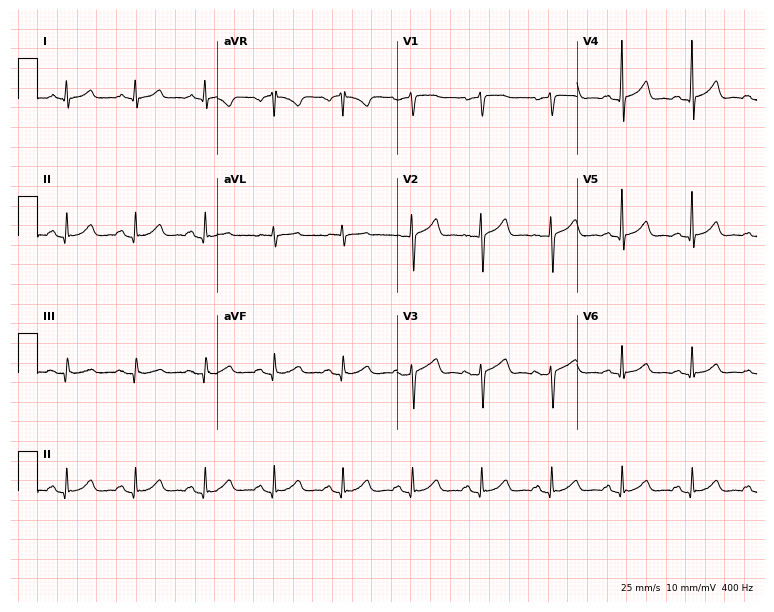
Standard 12-lead ECG recorded from a male, 75 years old (7.3-second recording at 400 Hz). Read as a normal ECG.